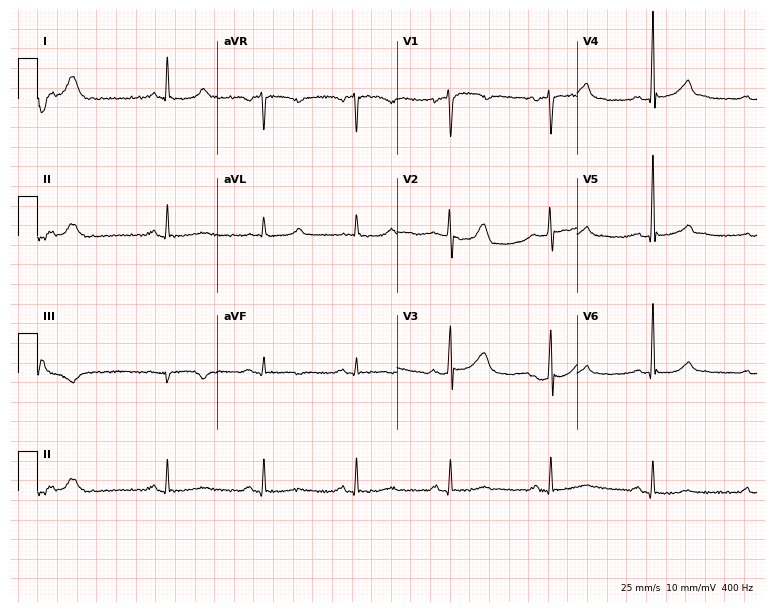
12-lead ECG (7.3-second recording at 400 Hz) from a 58-year-old male. Screened for six findings — first-degree AV block, right bundle branch block, left bundle branch block, sinus bradycardia, atrial fibrillation, sinus tachycardia — none is recorded.